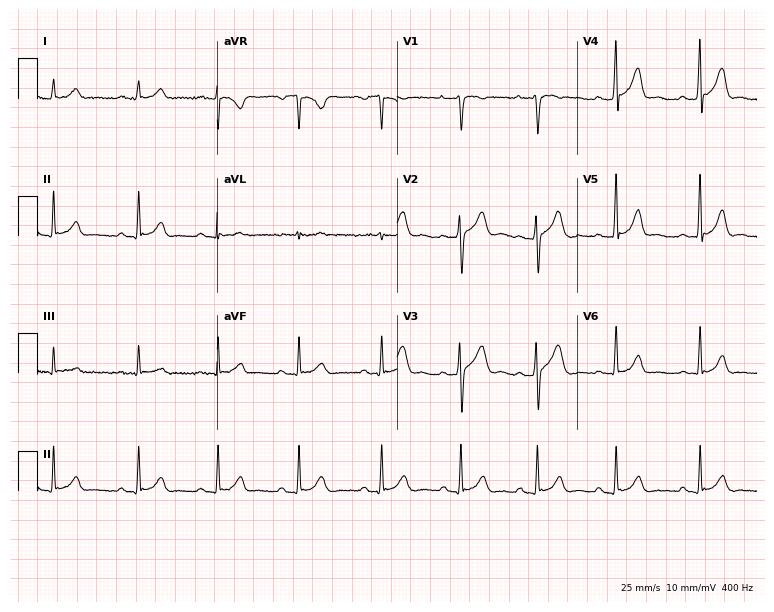
ECG — a male patient, 20 years old. Labelled as a normal ECG.